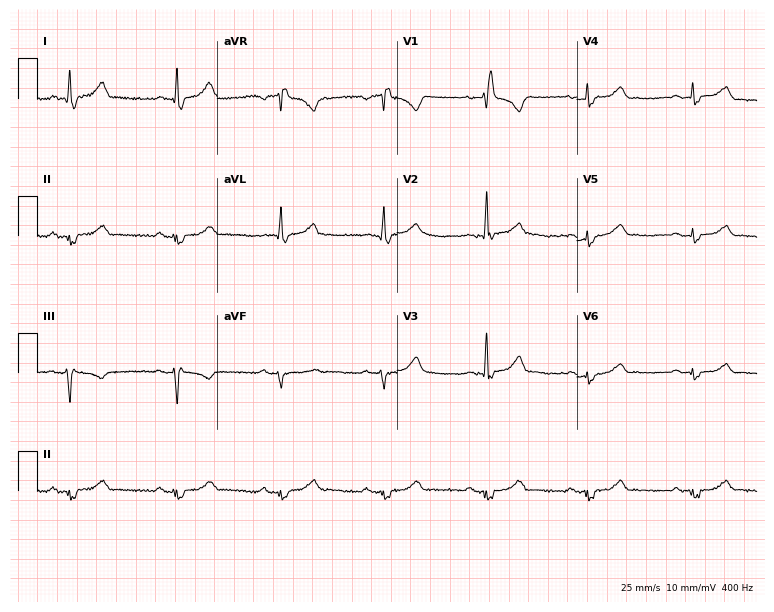
ECG — a 56-year-old female patient. Findings include right bundle branch block.